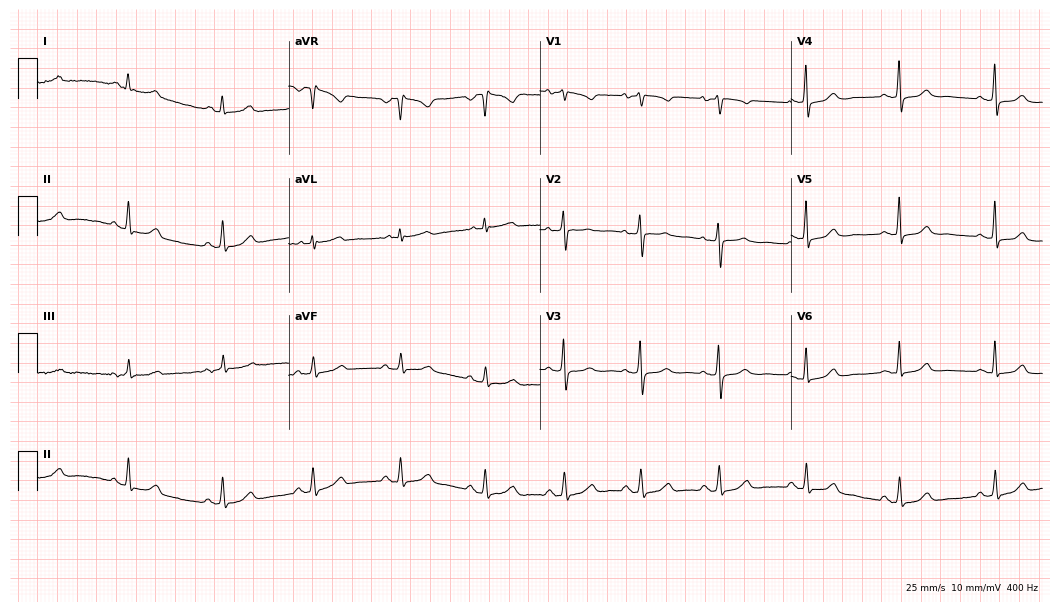
Resting 12-lead electrocardiogram. Patient: a 44-year-old female. Read as a normal ECG.